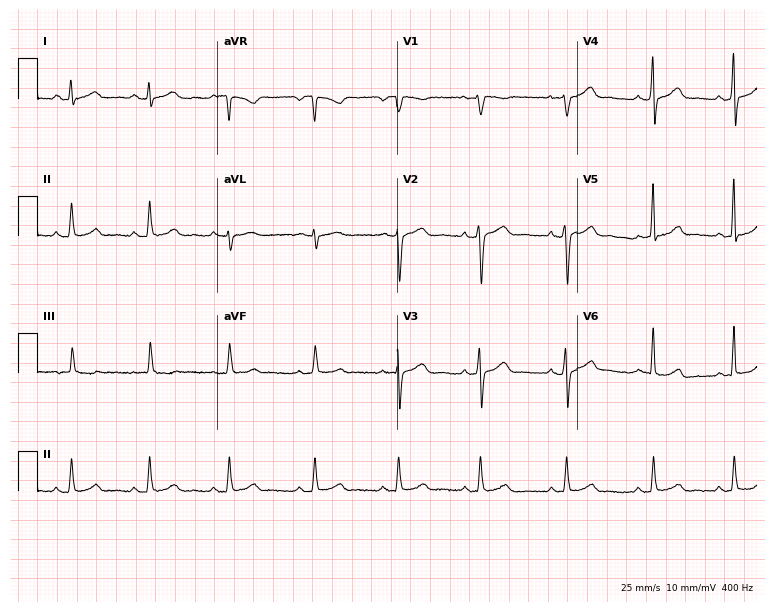
Standard 12-lead ECG recorded from a 45-year-old female patient (7.3-second recording at 400 Hz). None of these six findings is recorded: first-degree AV block, right bundle branch block (RBBB), left bundle branch block (LBBB), sinus bradycardia, atrial fibrillation (AF), sinus tachycardia.